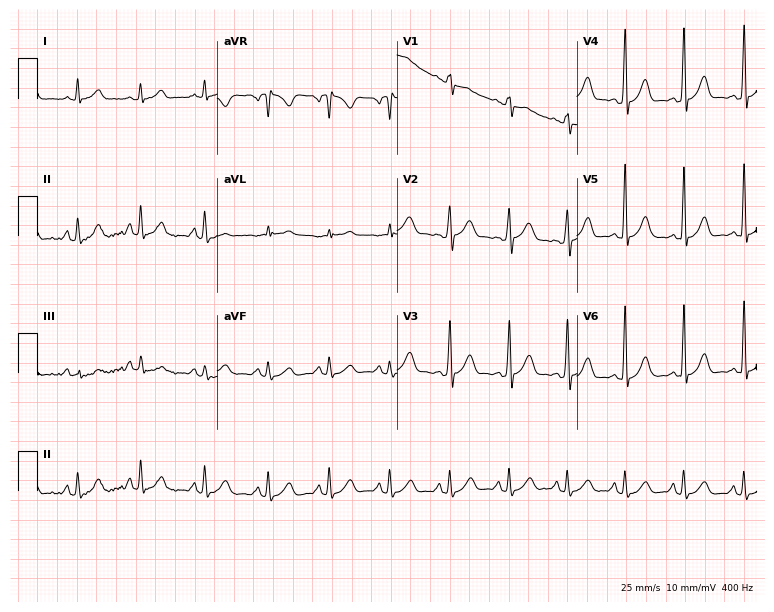
Electrocardiogram, a male patient, 57 years old. Of the six screened findings (first-degree AV block, right bundle branch block (RBBB), left bundle branch block (LBBB), sinus bradycardia, atrial fibrillation (AF), sinus tachycardia), none is recorded.